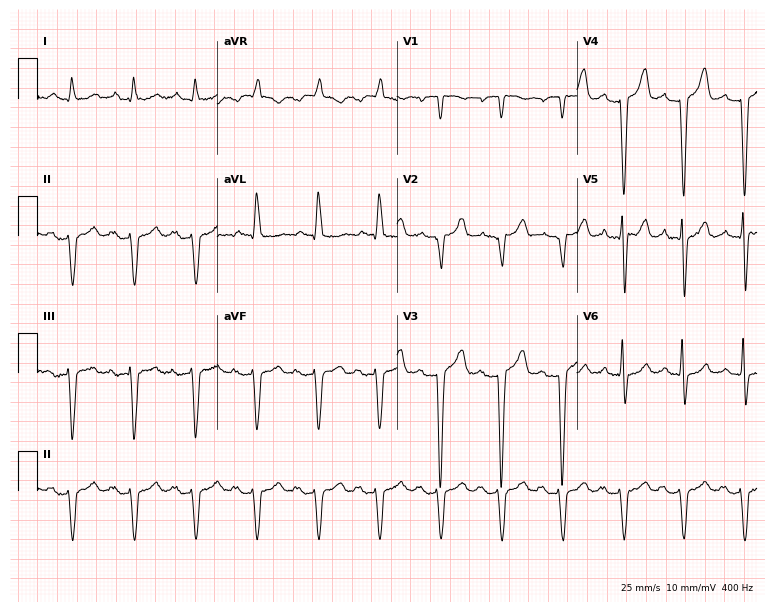
Electrocardiogram, a 66-year-old male. Interpretation includes first-degree AV block.